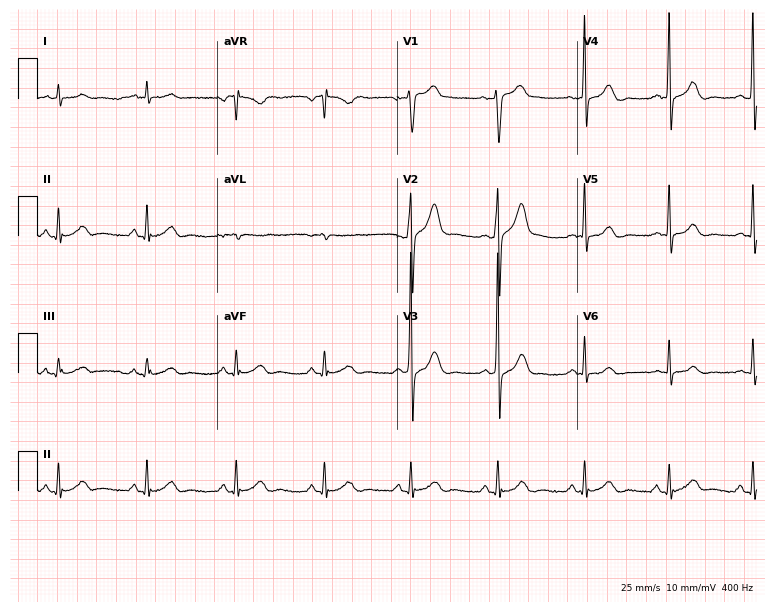
Electrocardiogram (7.3-second recording at 400 Hz), a 52-year-old male patient. Overall reading on record: normal ECG.